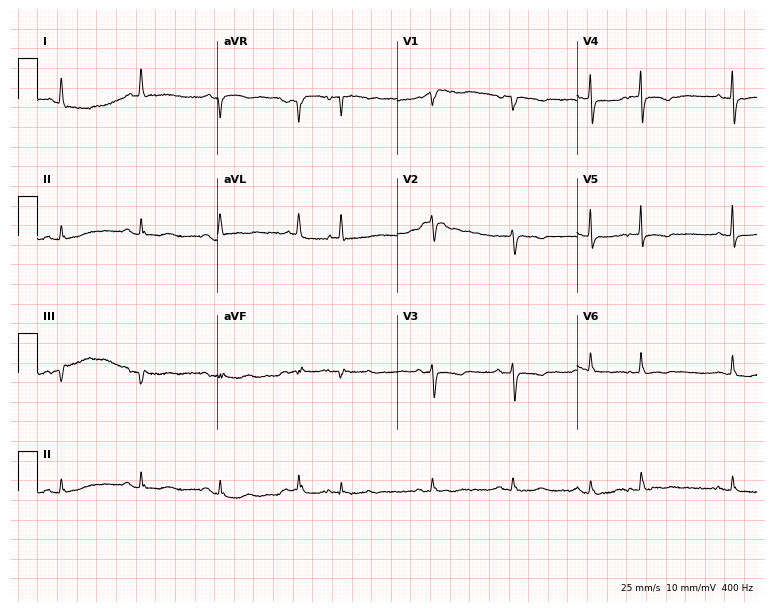
Standard 12-lead ECG recorded from a female, 85 years old (7.3-second recording at 400 Hz). None of these six findings is recorded: first-degree AV block, right bundle branch block, left bundle branch block, sinus bradycardia, atrial fibrillation, sinus tachycardia.